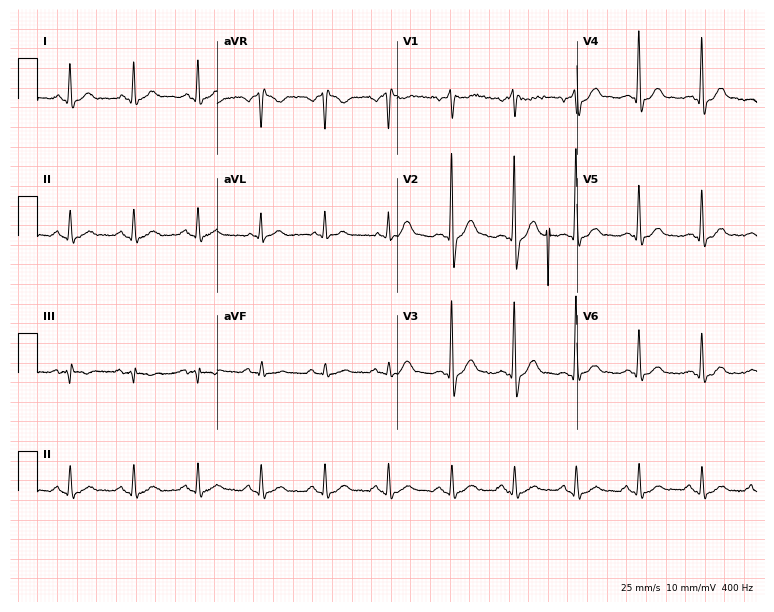
Standard 12-lead ECG recorded from a 49-year-old female patient (7.3-second recording at 400 Hz). Read as a normal ECG.